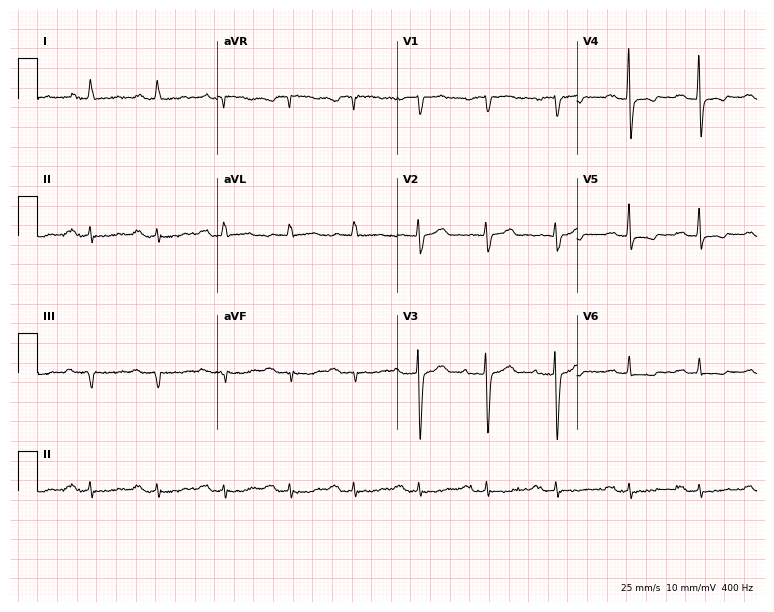
Resting 12-lead electrocardiogram. Patient: a man, 77 years old. The tracing shows first-degree AV block.